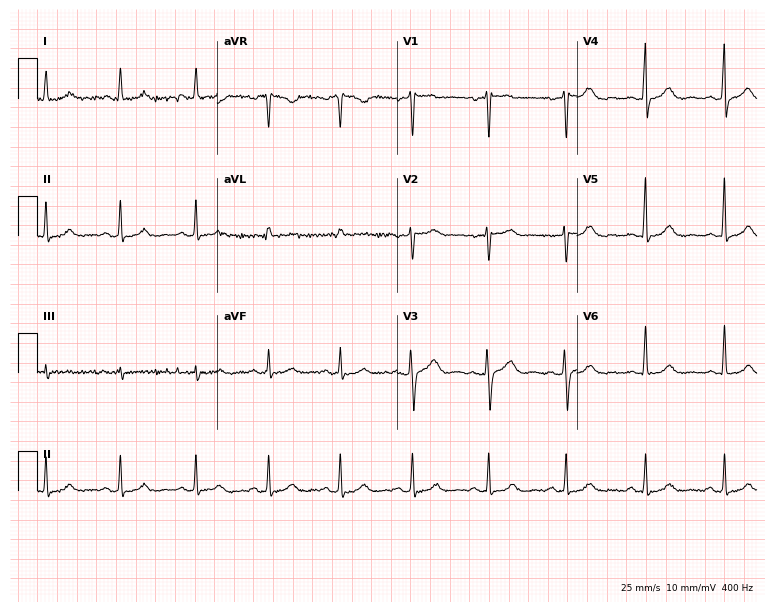
Resting 12-lead electrocardiogram (7.3-second recording at 400 Hz). Patient: a 53-year-old female. None of these six findings is recorded: first-degree AV block, right bundle branch block, left bundle branch block, sinus bradycardia, atrial fibrillation, sinus tachycardia.